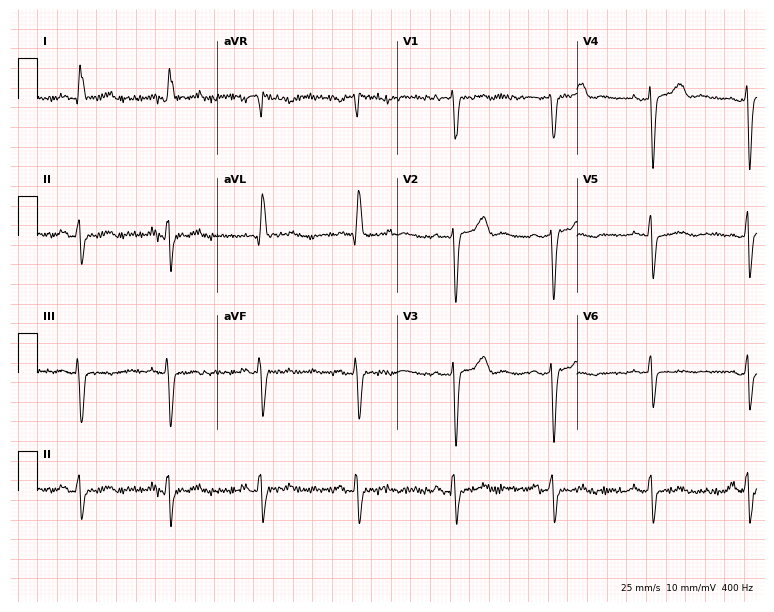
12-lead ECG (7.3-second recording at 400 Hz) from a 71-year-old female patient. Screened for six findings — first-degree AV block, right bundle branch block, left bundle branch block, sinus bradycardia, atrial fibrillation, sinus tachycardia — none is recorded.